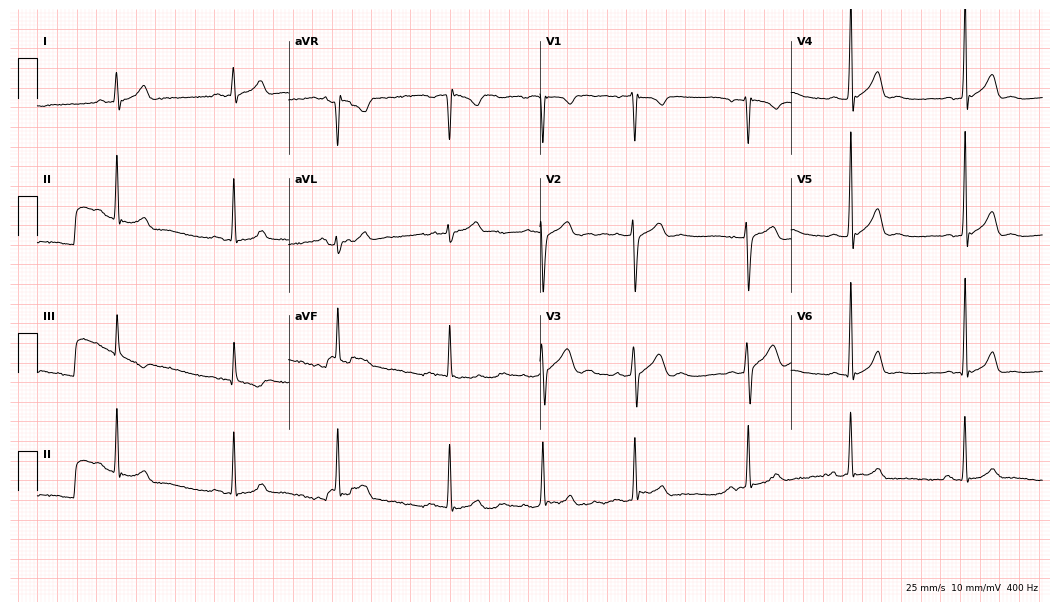
Resting 12-lead electrocardiogram. Patient: a male, 28 years old. Read as a normal ECG.